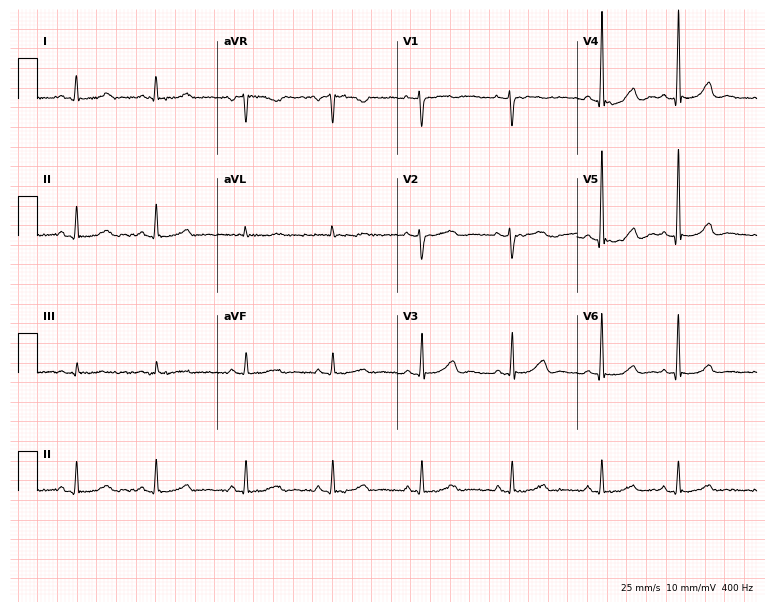
ECG (7.3-second recording at 400 Hz) — a 50-year-old woman. Screened for six findings — first-degree AV block, right bundle branch block (RBBB), left bundle branch block (LBBB), sinus bradycardia, atrial fibrillation (AF), sinus tachycardia — none is recorded.